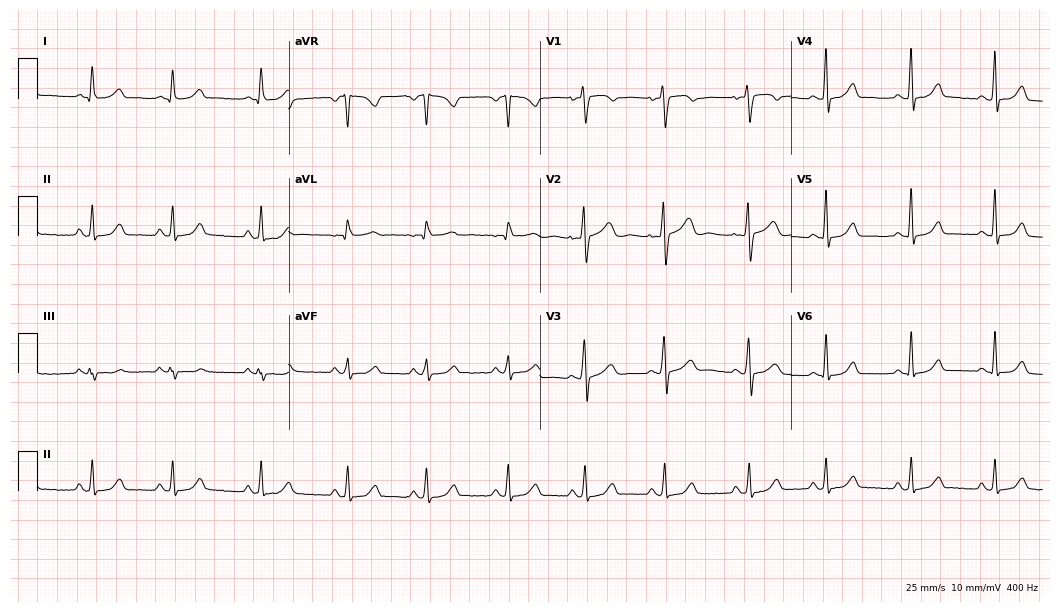
Standard 12-lead ECG recorded from a 39-year-old woman. Read as a normal ECG.